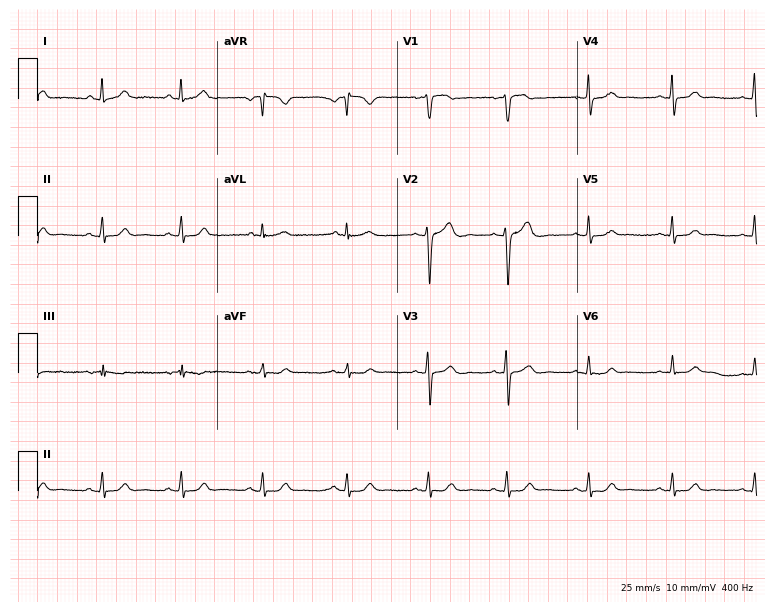
12-lead ECG (7.3-second recording at 400 Hz) from a woman, 36 years old. Labelled as a normal ECG.